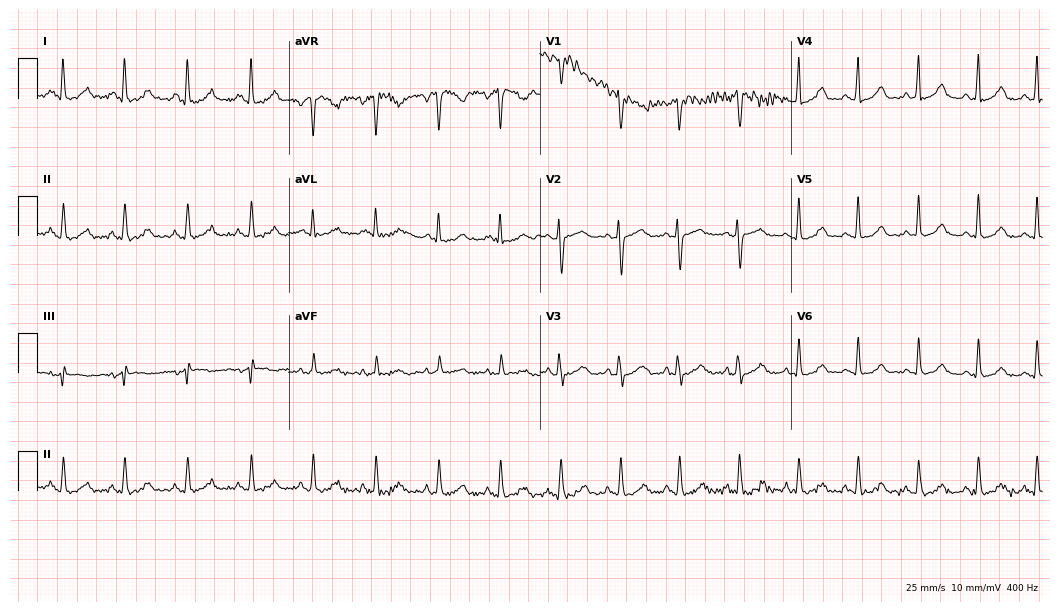
Electrocardiogram, a 38-year-old female patient. Of the six screened findings (first-degree AV block, right bundle branch block, left bundle branch block, sinus bradycardia, atrial fibrillation, sinus tachycardia), none is recorded.